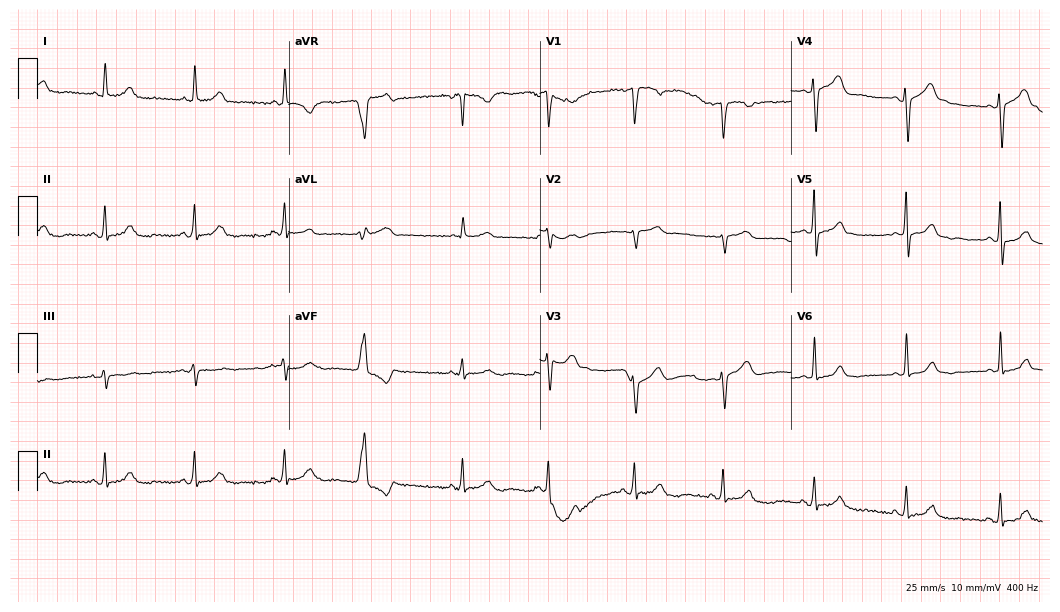
Standard 12-lead ECG recorded from a female, 49 years old (10.2-second recording at 400 Hz). Read as a normal ECG.